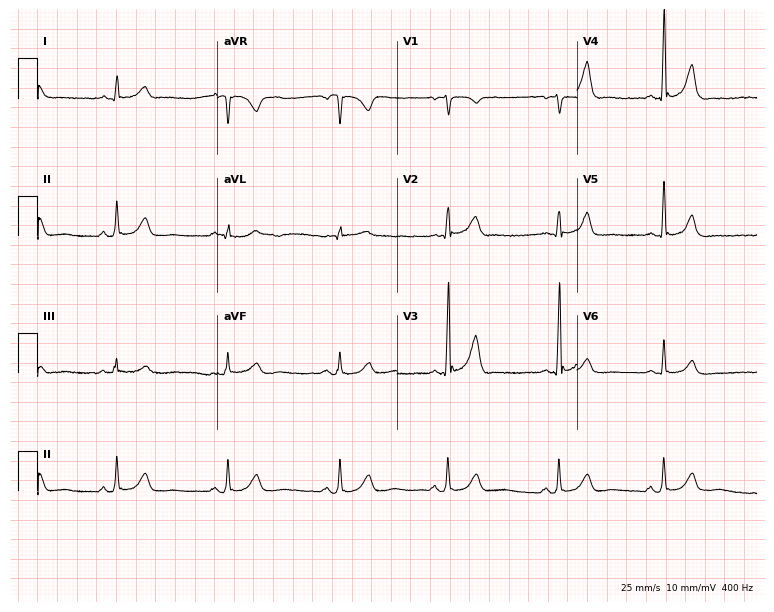
12-lead ECG from a 46-year-old man. Recorded interpretation: within normal limits.